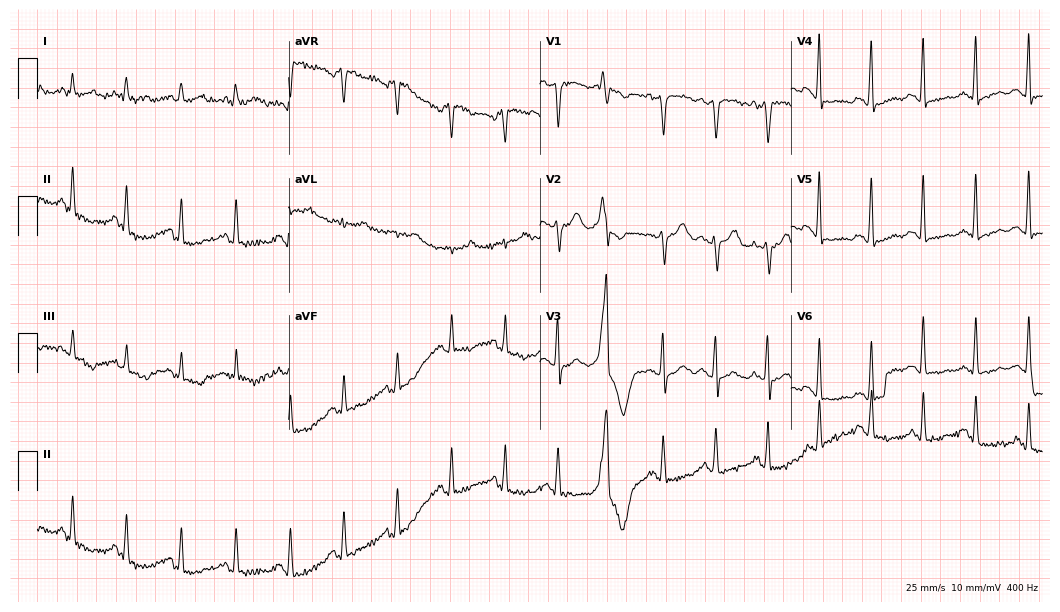
12-lead ECG from a female, 59 years old. Screened for six findings — first-degree AV block, right bundle branch block, left bundle branch block, sinus bradycardia, atrial fibrillation, sinus tachycardia — none is recorded.